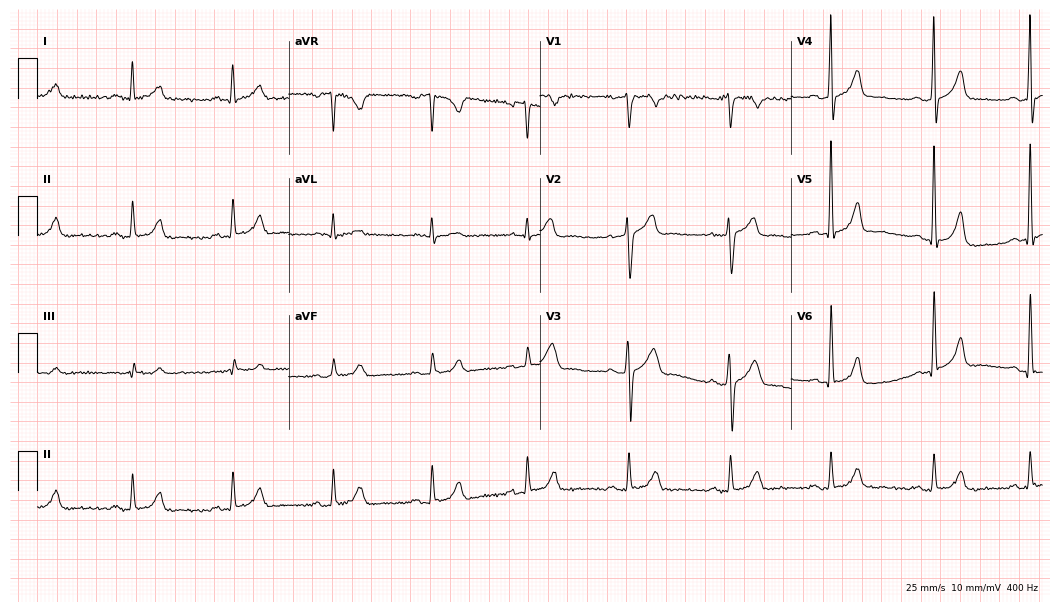
Electrocardiogram (10.2-second recording at 400 Hz), a 55-year-old male. Overall reading on record: normal ECG.